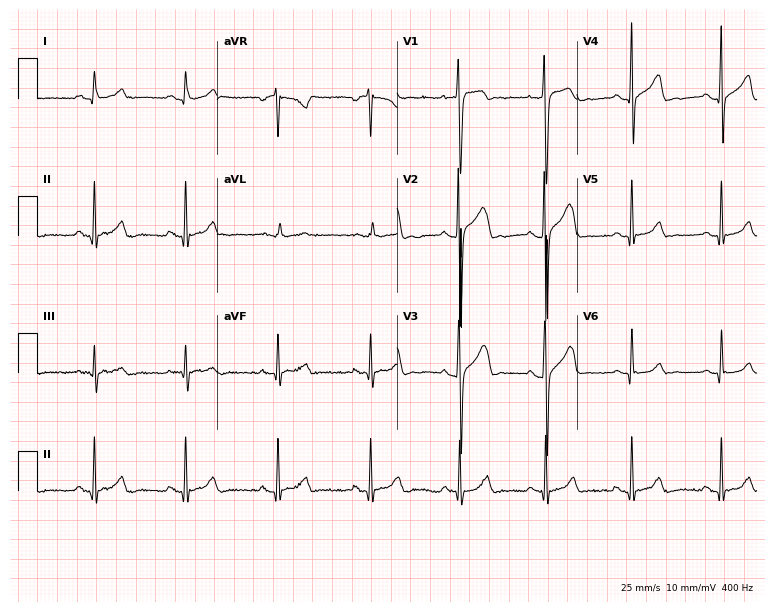
12-lead ECG from a man, 22 years old. Recorded interpretation: within normal limits.